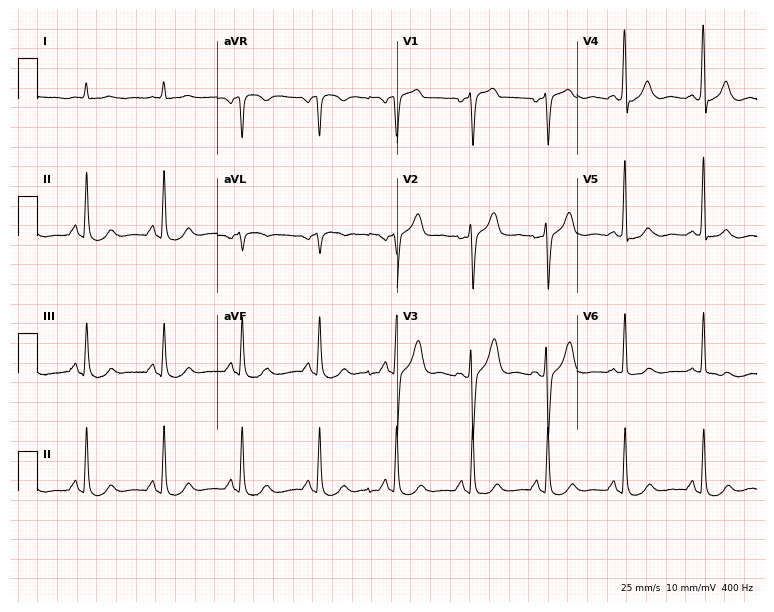
ECG — a male, 77 years old. Screened for six findings — first-degree AV block, right bundle branch block (RBBB), left bundle branch block (LBBB), sinus bradycardia, atrial fibrillation (AF), sinus tachycardia — none is recorded. Other findings, if any, are not listed.